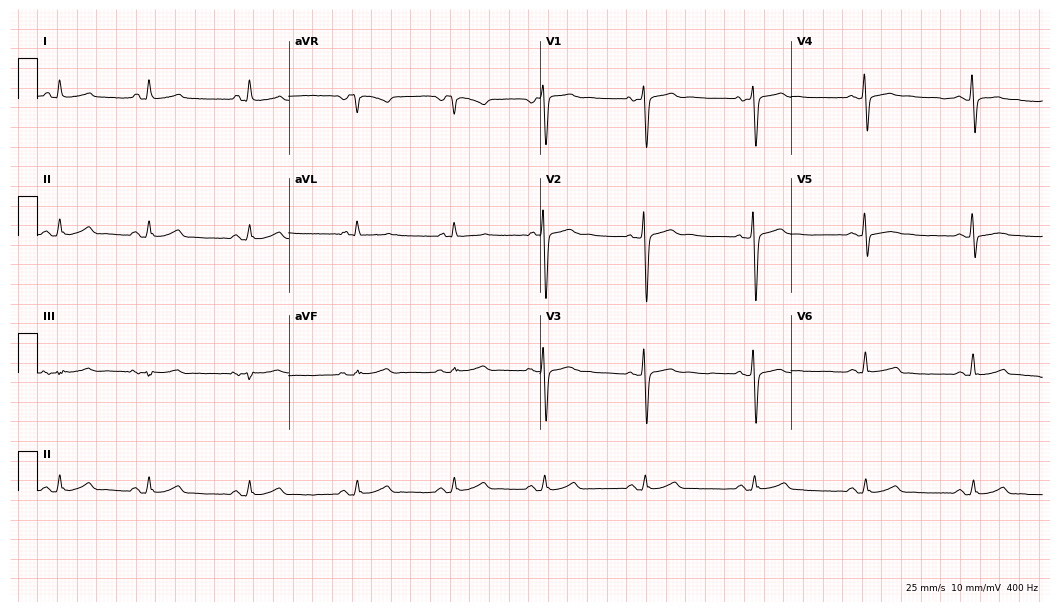
ECG — a 44-year-old male. Screened for six findings — first-degree AV block, right bundle branch block, left bundle branch block, sinus bradycardia, atrial fibrillation, sinus tachycardia — none is recorded.